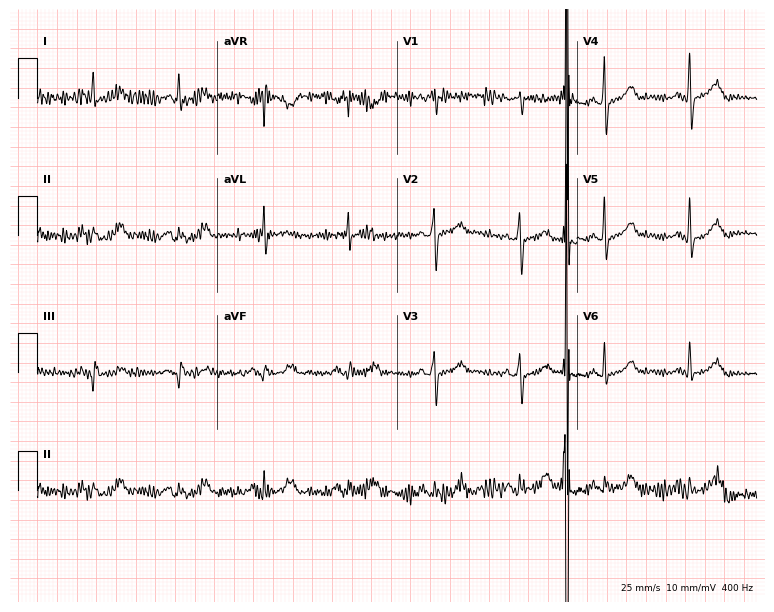
12-lead ECG from a female patient, 66 years old. No first-degree AV block, right bundle branch block (RBBB), left bundle branch block (LBBB), sinus bradycardia, atrial fibrillation (AF) or sinus tachycardia recorded for this tracing. Only these six findings were labelled.